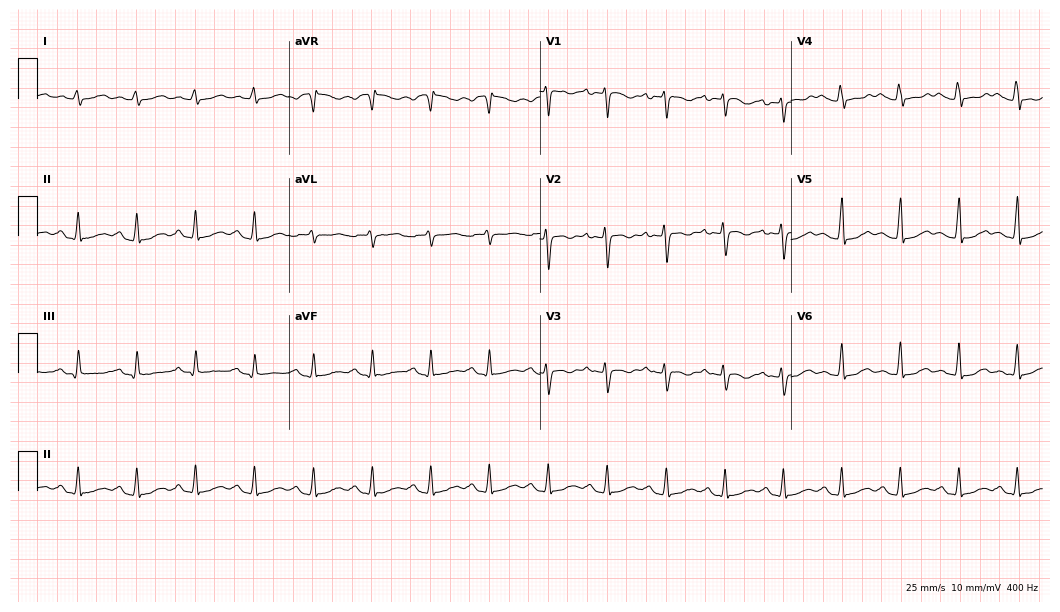
12-lead ECG from a female patient, 25 years old (10.2-second recording at 400 Hz). Shows sinus tachycardia (a sinus rate of 100 beats per minute or more).